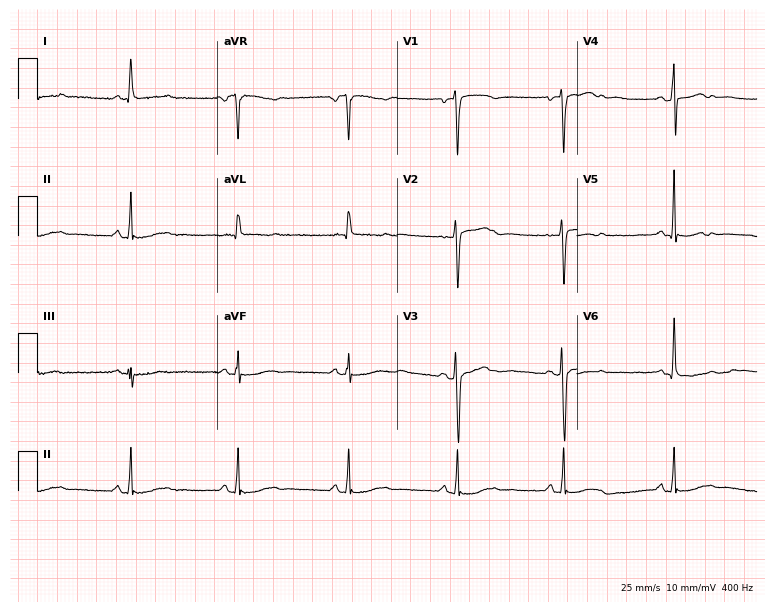
12-lead ECG from a 59-year-old female patient (7.3-second recording at 400 Hz). Recorded interpretation: within normal limits.